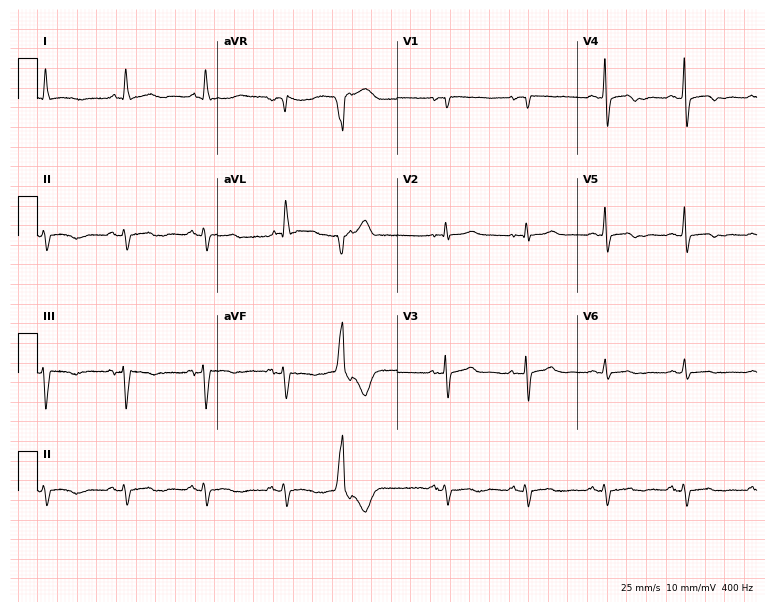
Standard 12-lead ECG recorded from an 80-year-old female. None of these six findings is recorded: first-degree AV block, right bundle branch block, left bundle branch block, sinus bradycardia, atrial fibrillation, sinus tachycardia.